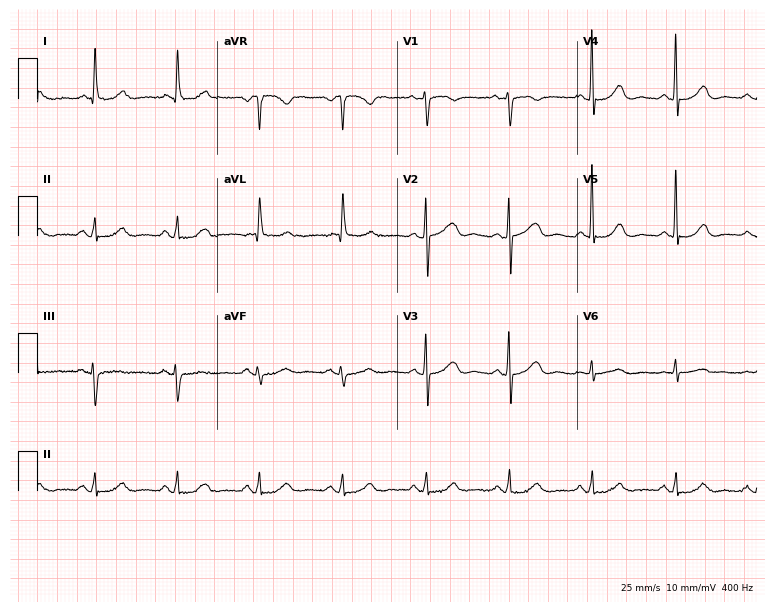
12-lead ECG (7.3-second recording at 400 Hz) from a female patient, 83 years old. Labelled as a normal ECG.